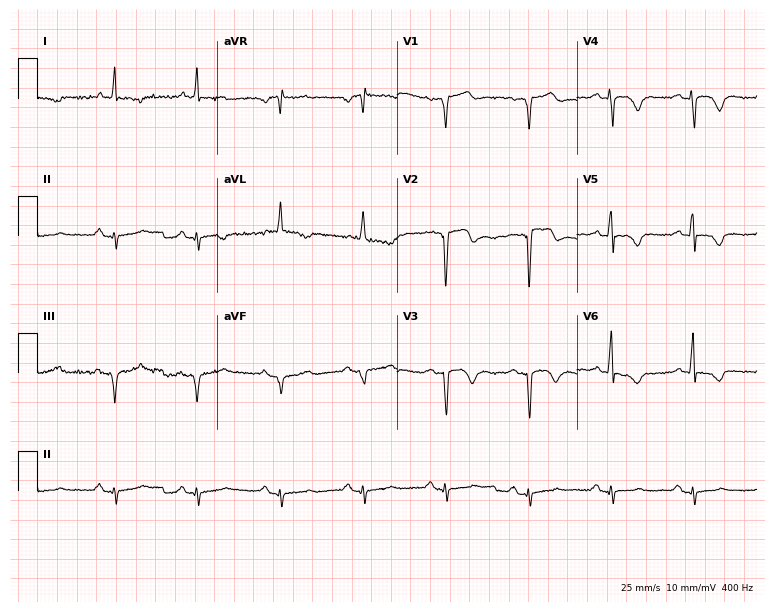
12-lead ECG from a man, 72 years old. Screened for six findings — first-degree AV block, right bundle branch block, left bundle branch block, sinus bradycardia, atrial fibrillation, sinus tachycardia — none is recorded. Other findings, if any, are not listed.